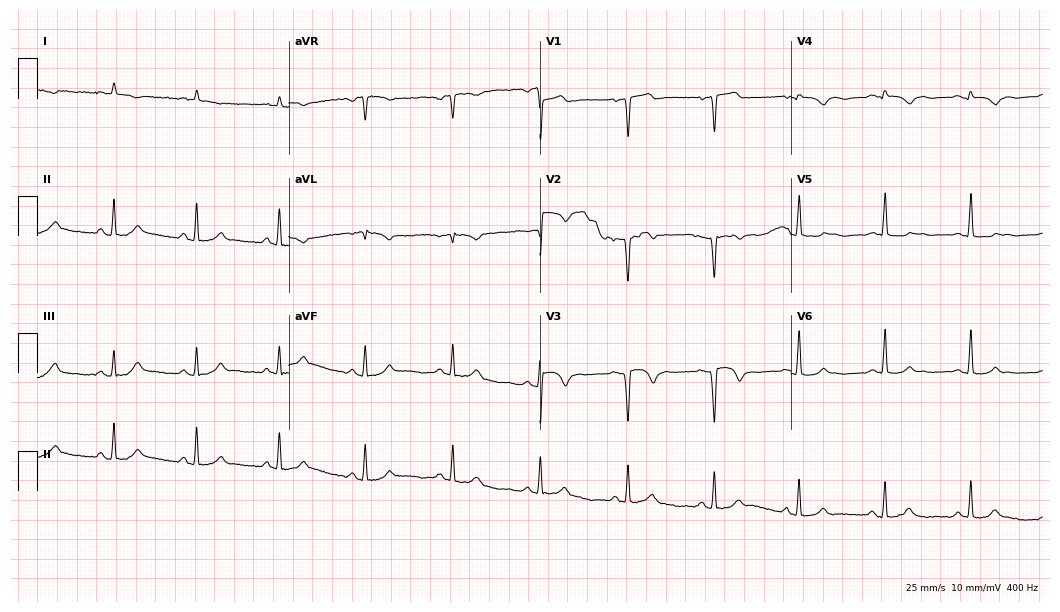
12-lead ECG from a 48-year-old male patient. No first-degree AV block, right bundle branch block (RBBB), left bundle branch block (LBBB), sinus bradycardia, atrial fibrillation (AF) or sinus tachycardia recorded for this tracing. Other findings, if any, are not listed.